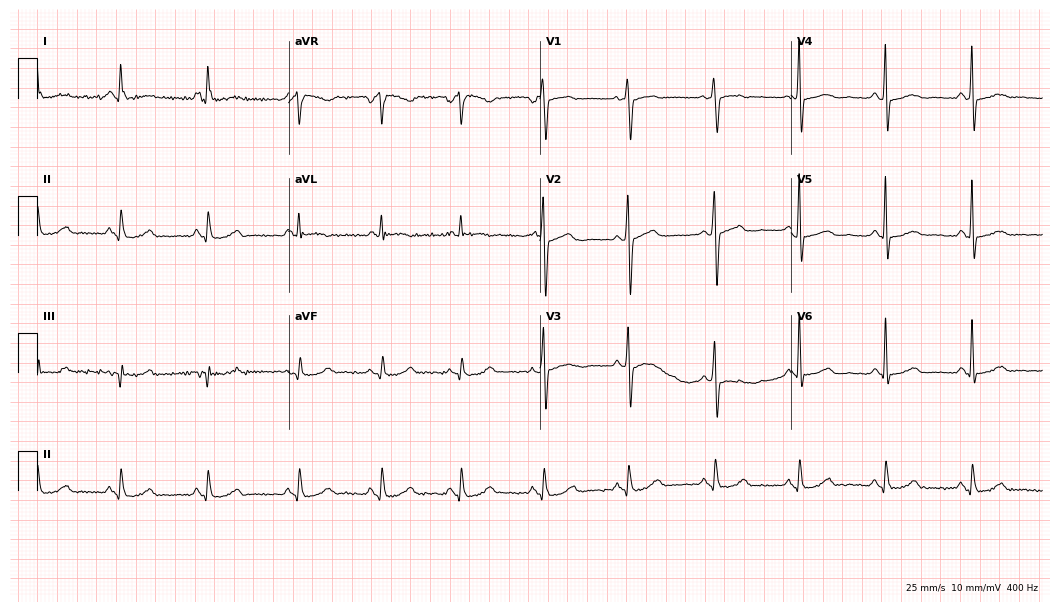
ECG — a female, 61 years old. Screened for six findings — first-degree AV block, right bundle branch block, left bundle branch block, sinus bradycardia, atrial fibrillation, sinus tachycardia — none is recorded.